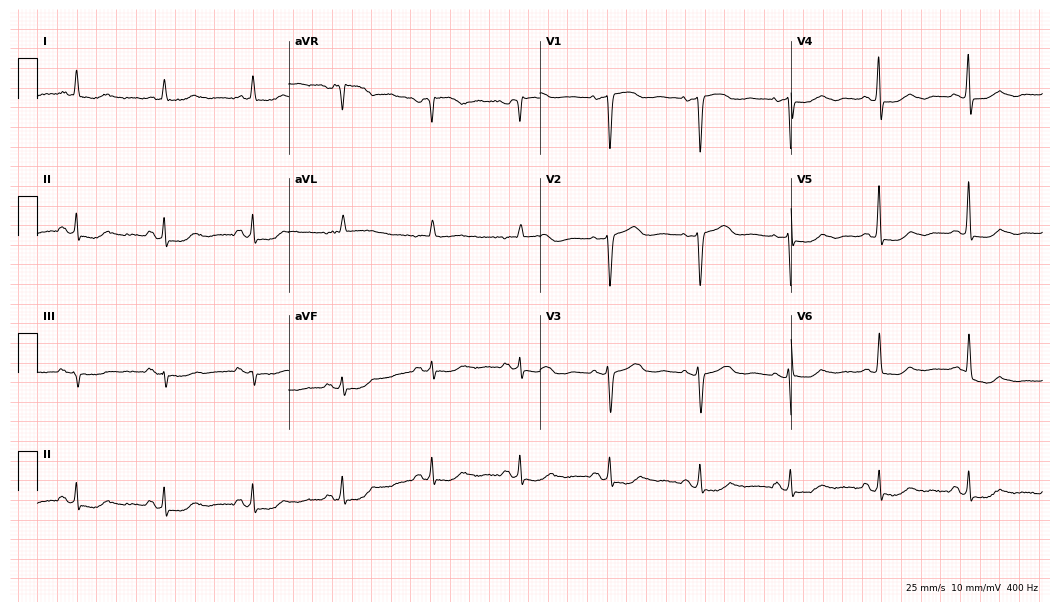
12-lead ECG from a female, 65 years old. Screened for six findings — first-degree AV block, right bundle branch block, left bundle branch block, sinus bradycardia, atrial fibrillation, sinus tachycardia — none is recorded.